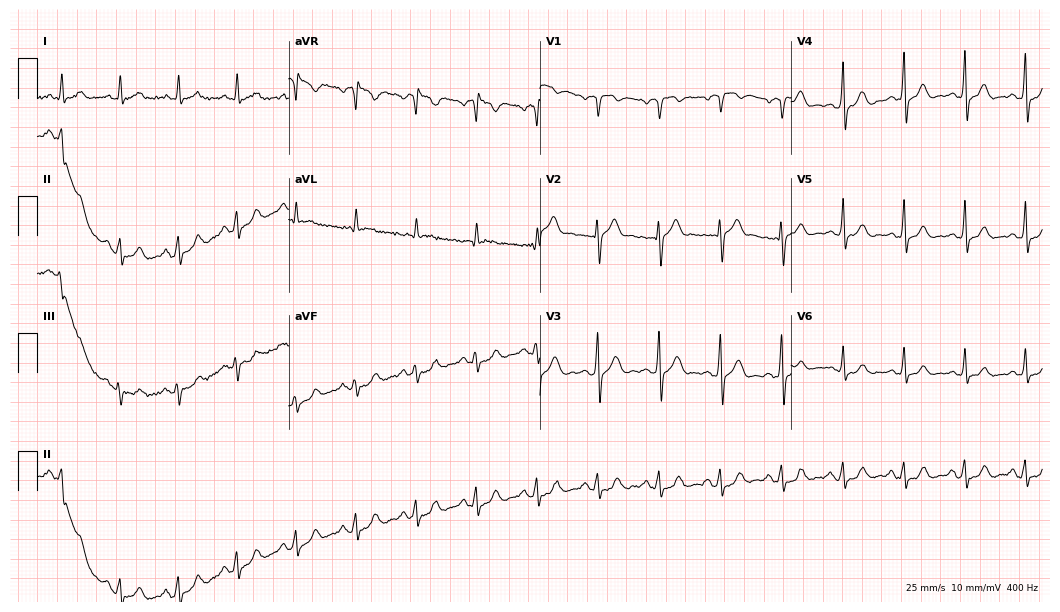
12-lead ECG from a 50-year-old male. Labelled as a normal ECG.